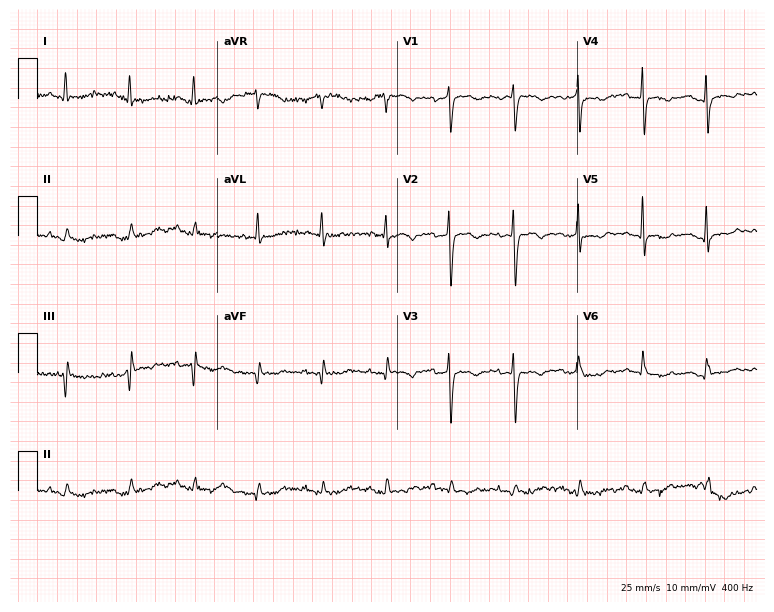
ECG — a female patient, 81 years old. Screened for six findings — first-degree AV block, right bundle branch block, left bundle branch block, sinus bradycardia, atrial fibrillation, sinus tachycardia — none is recorded. Only these six findings were labelled.